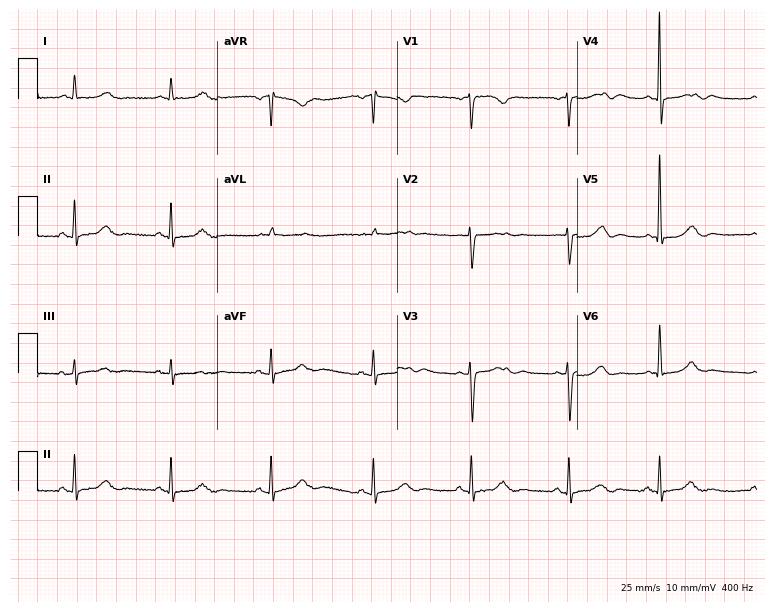
12-lead ECG from a female, 61 years old (7.3-second recording at 400 Hz). Recorded interpretation: within normal limits.